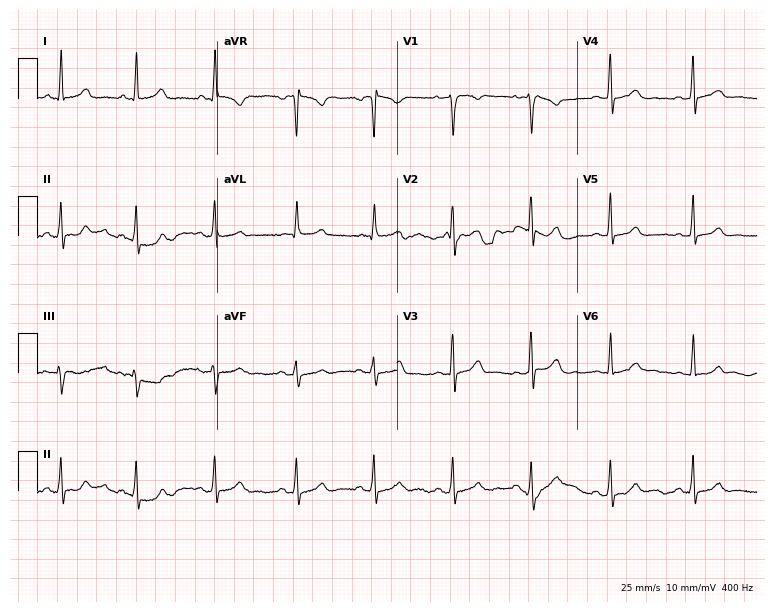
12-lead ECG from a 37-year-old female patient. Recorded interpretation: within normal limits.